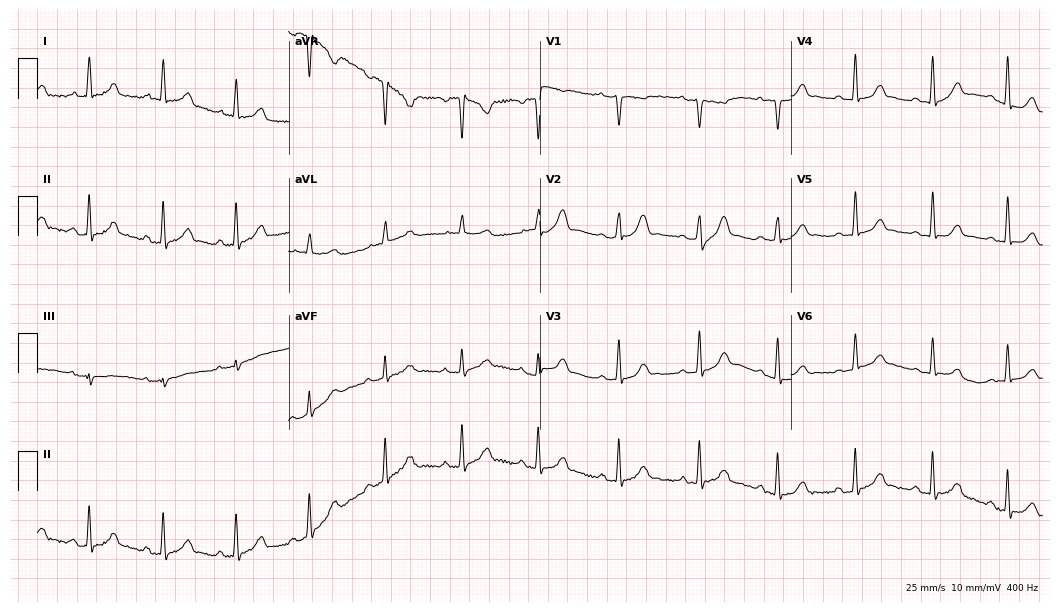
ECG (10.2-second recording at 400 Hz) — a 57-year-old female patient. Labelled as a normal ECG.